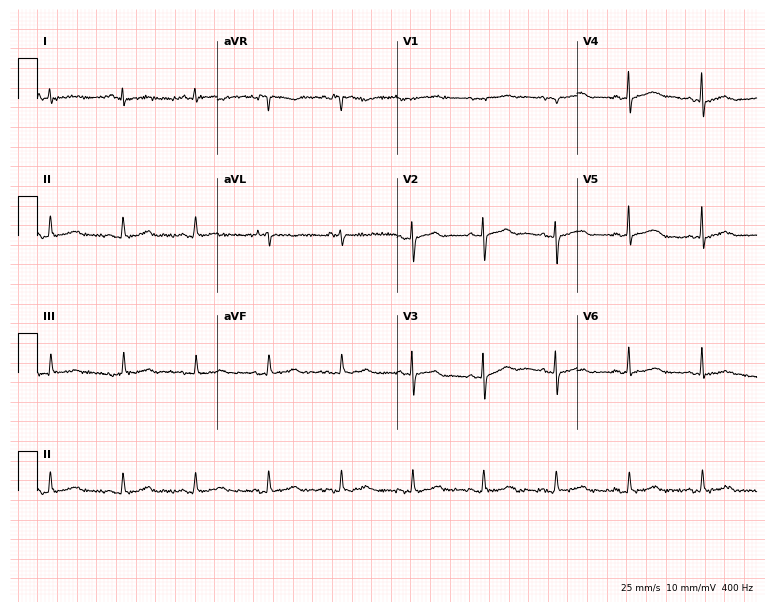
12-lead ECG from a female patient, 71 years old. No first-degree AV block, right bundle branch block, left bundle branch block, sinus bradycardia, atrial fibrillation or sinus tachycardia recorded for this tracing.